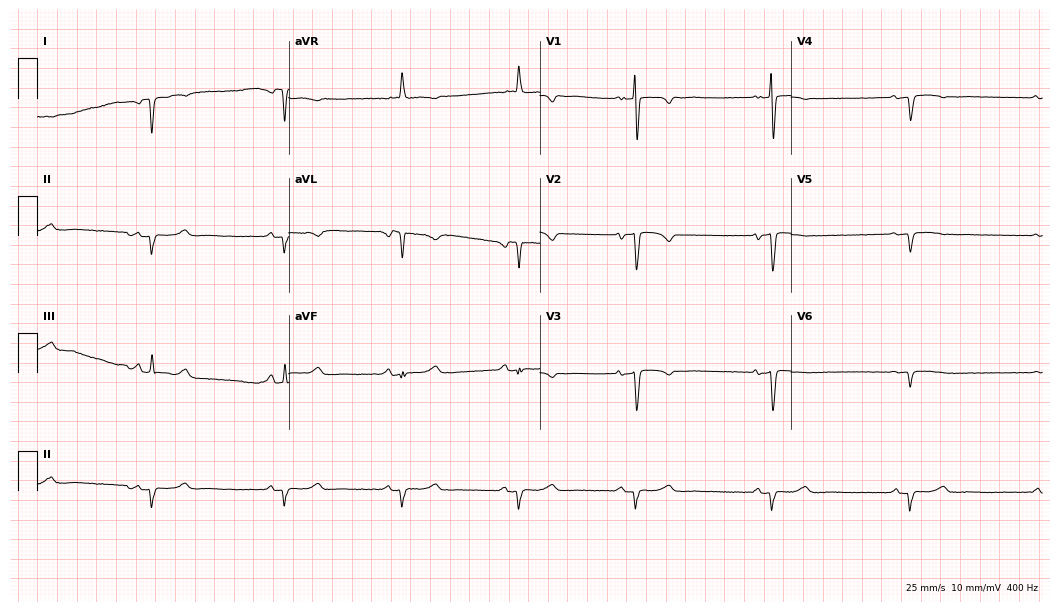
Electrocardiogram, a female patient, 78 years old. Of the six screened findings (first-degree AV block, right bundle branch block (RBBB), left bundle branch block (LBBB), sinus bradycardia, atrial fibrillation (AF), sinus tachycardia), none is recorded. Findings outside these six are not listed.